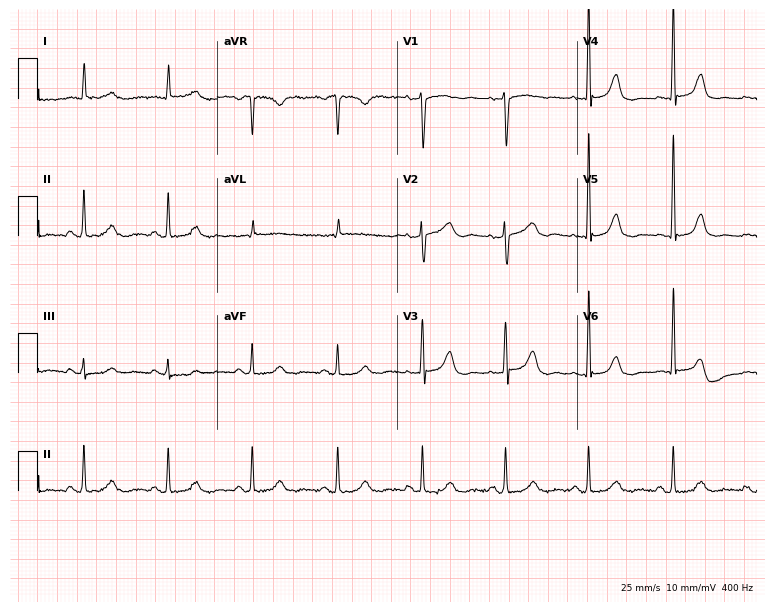
Resting 12-lead electrocardiogram. Patient: a 68-year-old woman. None of these six findings is recorded: first-degree AV block, right bundle branch block, left bundle branch block, sinus bradycardia, atrial fibrillation, sinus tachycardia. Other findings, if any, are not listed.